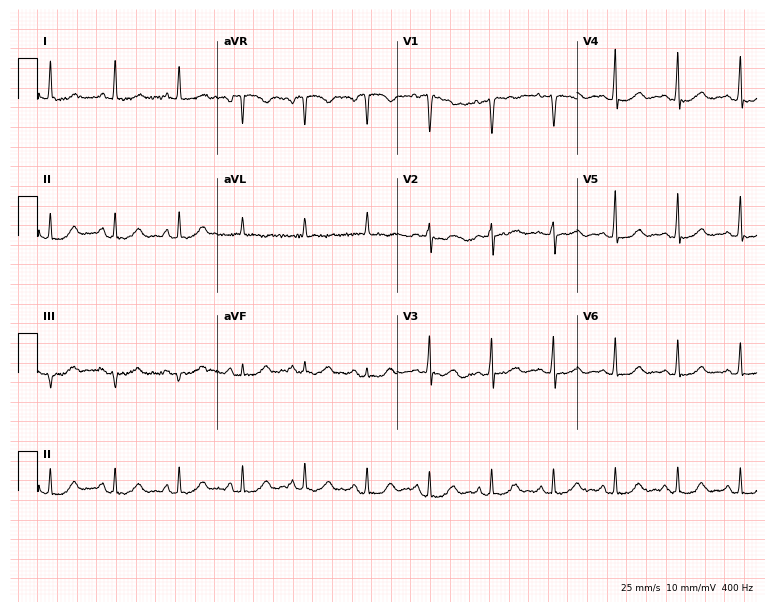
ECG (7.3-second recording at 400 Hz) — a female, 52 years old. Screened for six findings — first-degree AV block, right bundle branch block, left bundle branch block, sinus bradycardia, atrial fibrillation, sinus tachycardia — none is recorded. Findings outside these six are not listed.